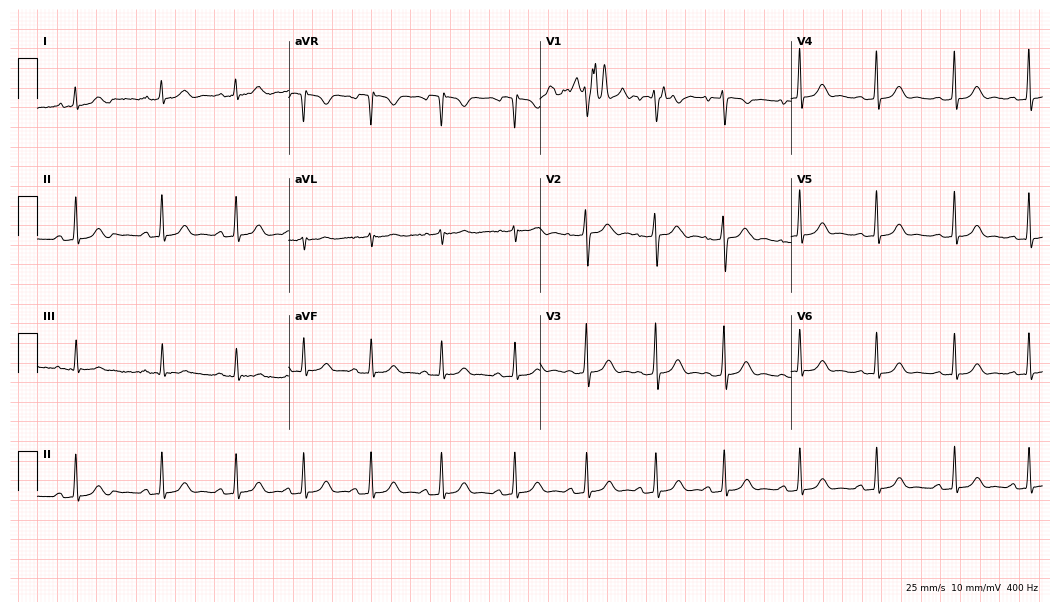
12-lead ECG (10.2-second recording at 400 Hz) from a 24-year-old female. Screened for six findings — first-degree AV block, right bundle branch block, left bundle branch block, sinus bradycardia, atrial fibrillation, sinus tachycardia — none is recorded. Only these six findings were labelled.